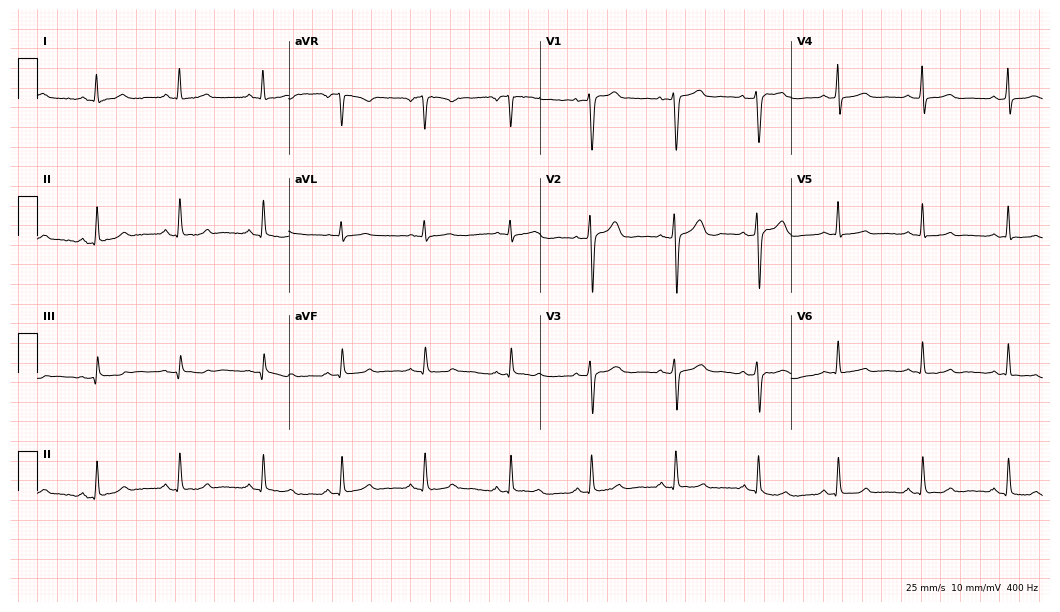
12-lead ECG from a 36-year-old female patient. Labelled as a normal ECG.